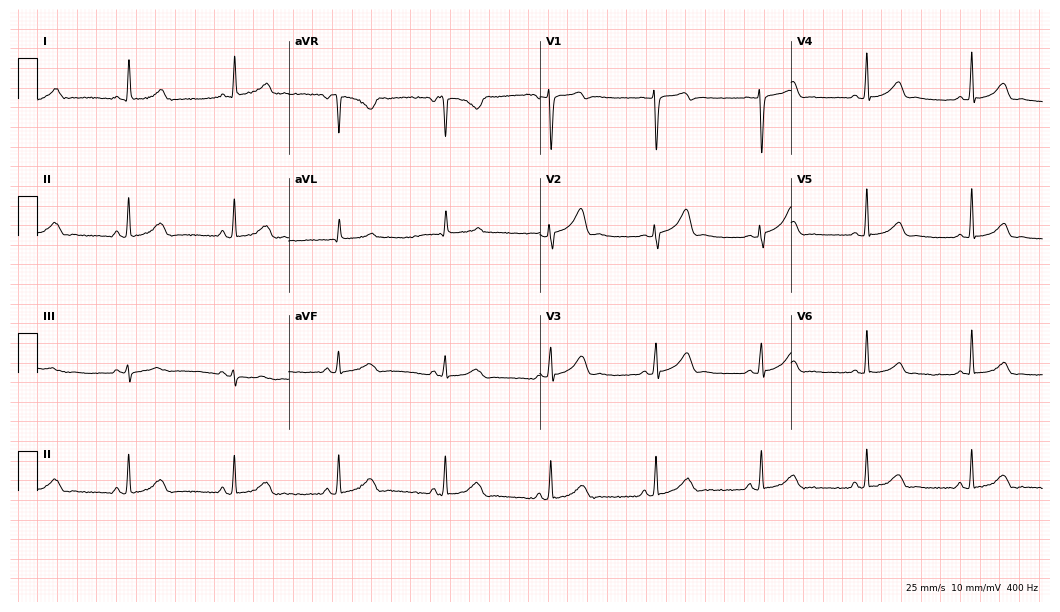
ECG (10.2-second recording at 400 Hz) — a female patient, 62 years old. Labelled as a normal ECG.